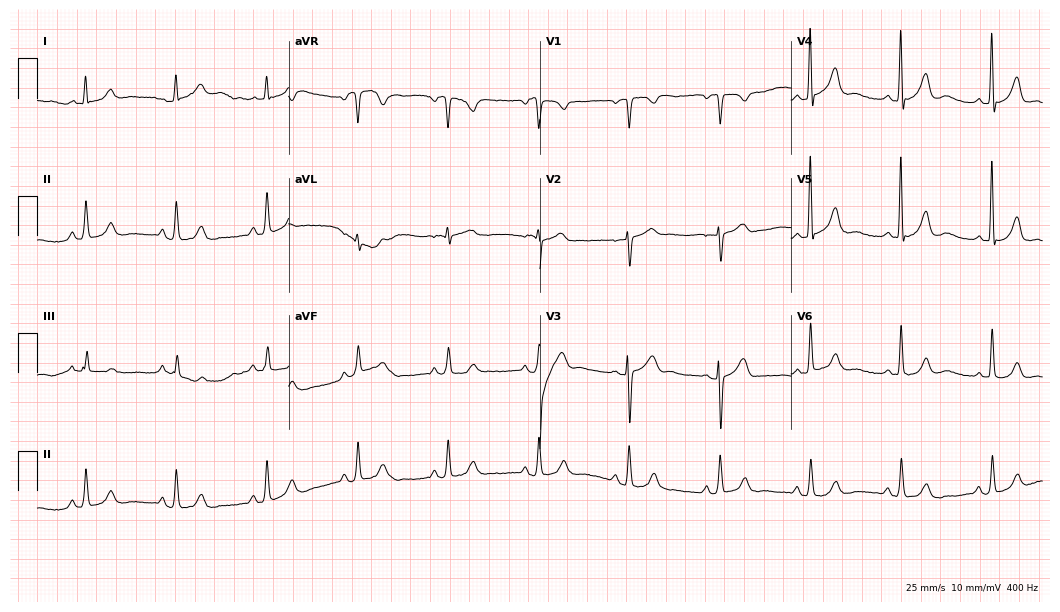
Electrocardiogram, a male patient, 76 years old. Overall reading on record: normal ECG.